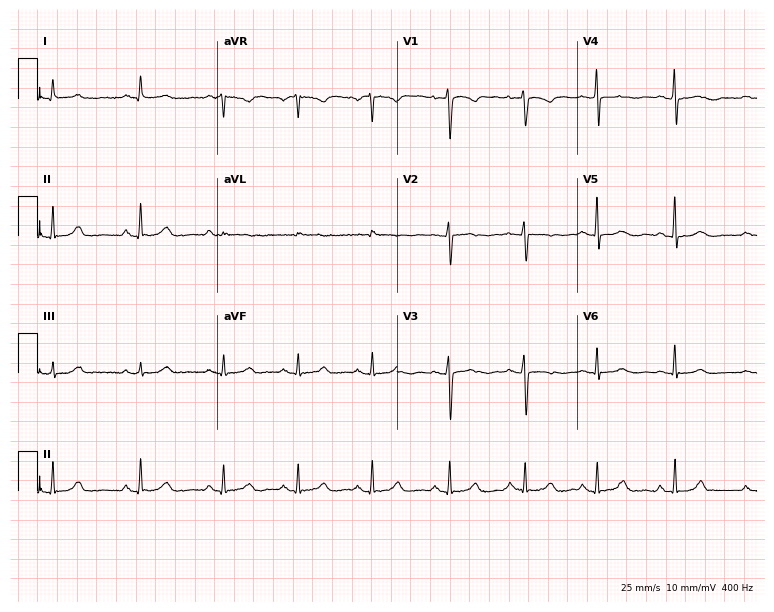
Electrocardiogram (7.3-second recording at 400 Hz), a woman, 31 years old. Of the six screened findings (first-degree AV block, right bundle branch block (RBBB), left bundle branch block (LBBB), sinus bradycardia, atrial fibrillation (AF), sinus tachycardia), none is recorded.